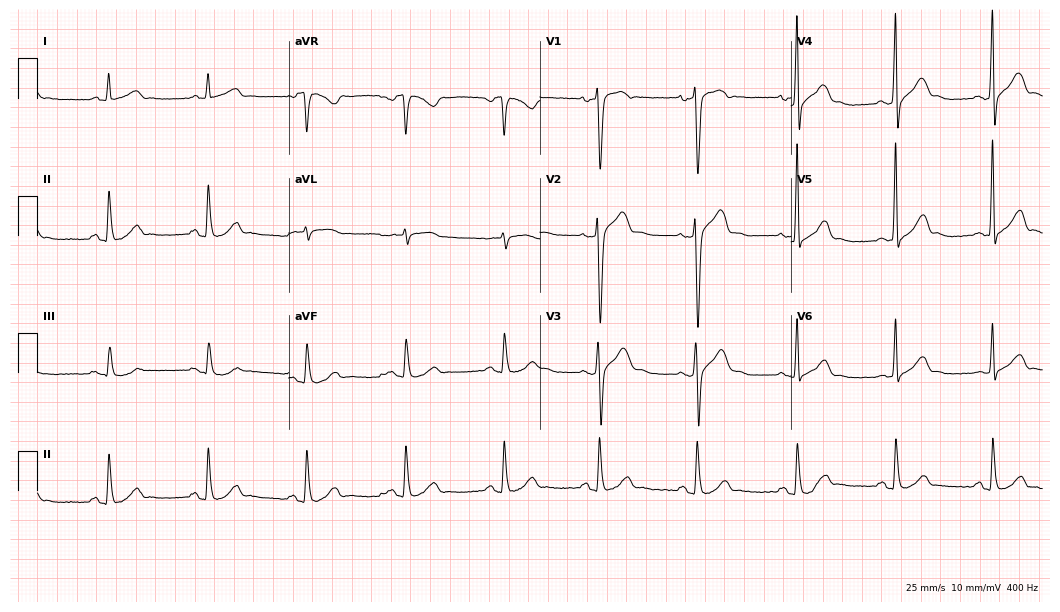
Standard 12-lead ECG recorded from a 48-year-old male (10.2-second recording at 400 Hz). None of these six findings is recorded: first-degree AV block, right bundle branch block, left bundle branch block, sinus bradycardia, atrial fibrillation, sinus tachycardia. Other findings, if any, are not listed.